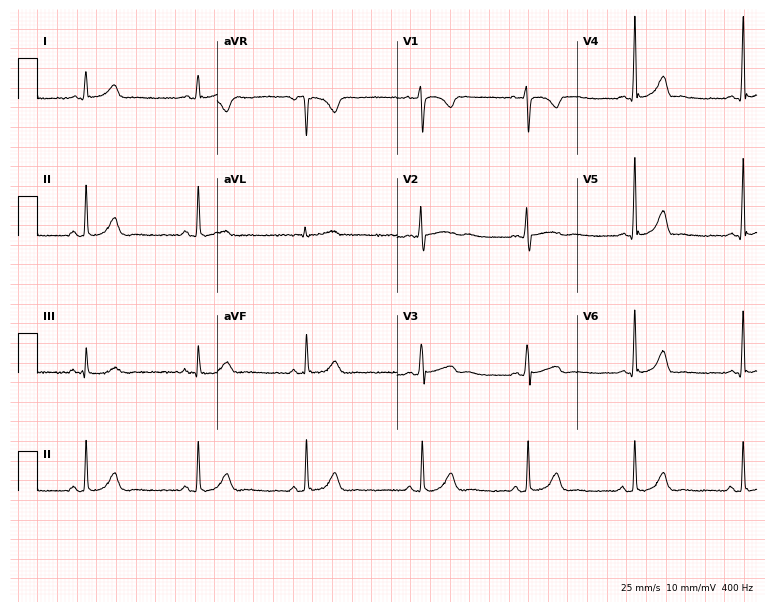
Standard 12-lead ECG recorded from a female, 31 years old (7.3-second recording at 400 Hz). Read as a normal ECG.